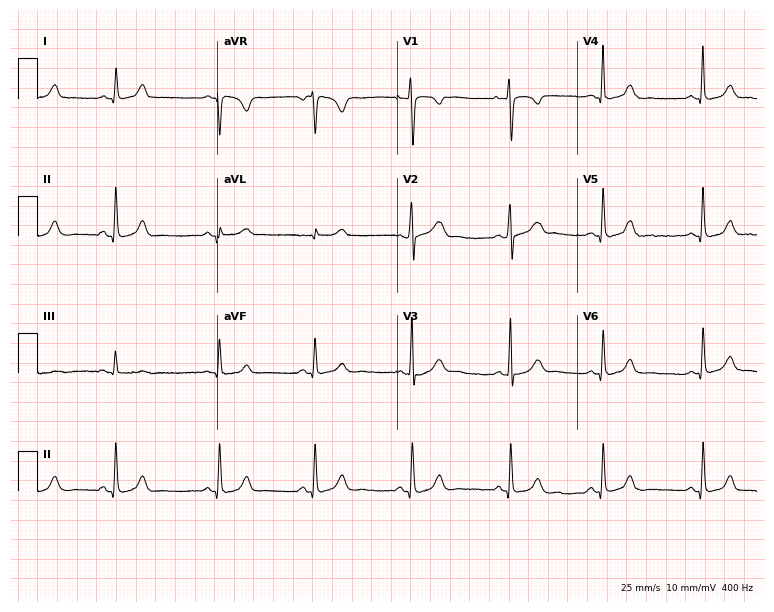
ECG — a female patient, 28 years old. Labelled as a normal ECG.